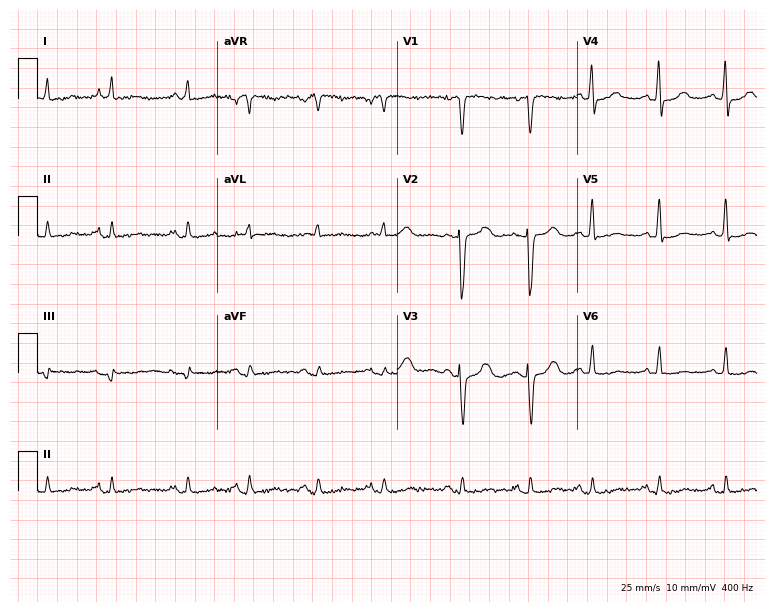
Resting 12-lead electrocardiogram (7.3-second recording at 400 Hz). Patient: an 81-year-old female. None of these six findings is recorded: first-degree AV block, right bundle branch block, left bundle branch block, sinus bradycardia, atrial fibrillation, sinus tachycardia. Only these six findings were labelled.